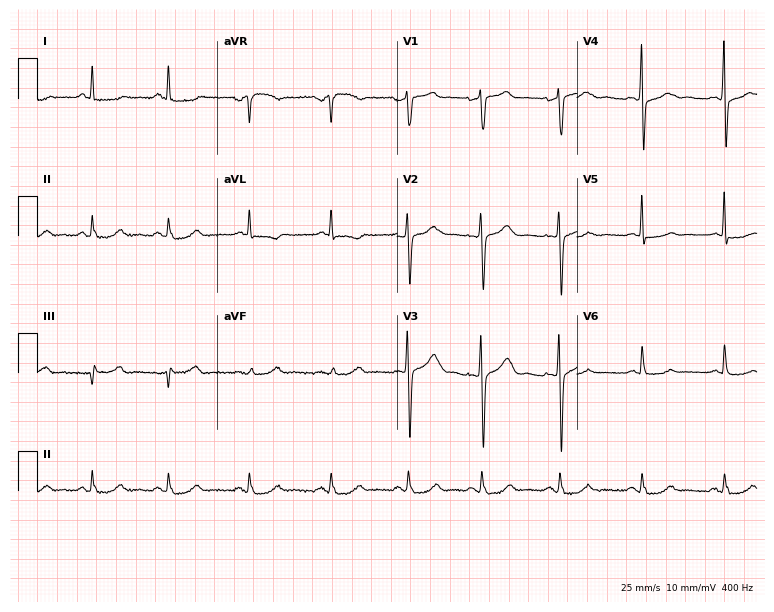
12-lead ECG (7.3-second recording at 400 Hz) from a 72-year-old female patient. Screened for six findings — first-degree AV block, right bundle branch block (RBBB), left bundle branch block (LBBB), sinus bradycardia, atrial fibrillation (AF), sinus tachycardia — none is recorded.